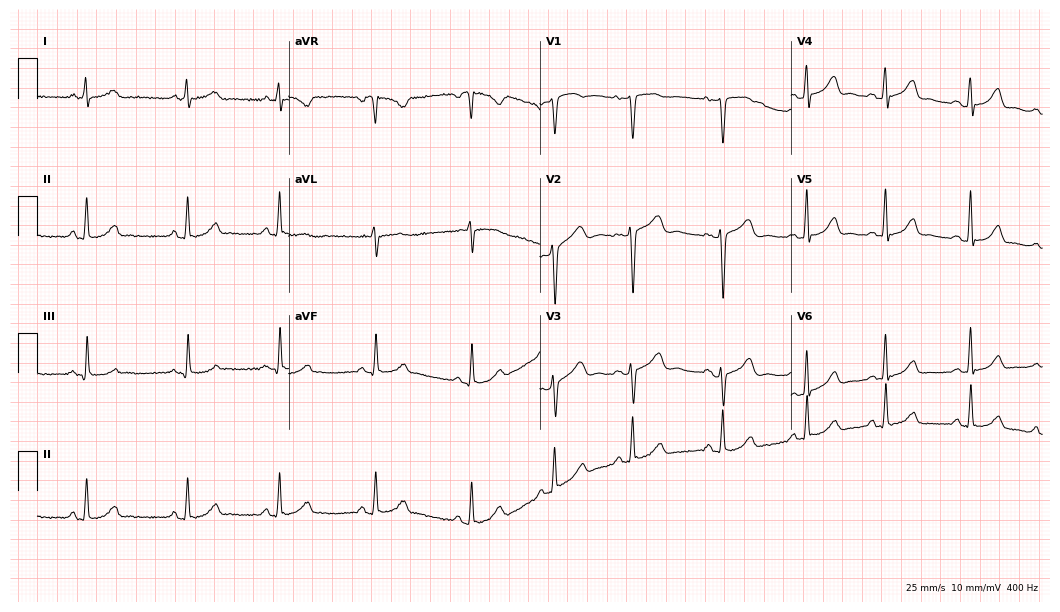
Standard 12-lead ECG recorded from a female patient, 24 years old. Read as a normal ECG.